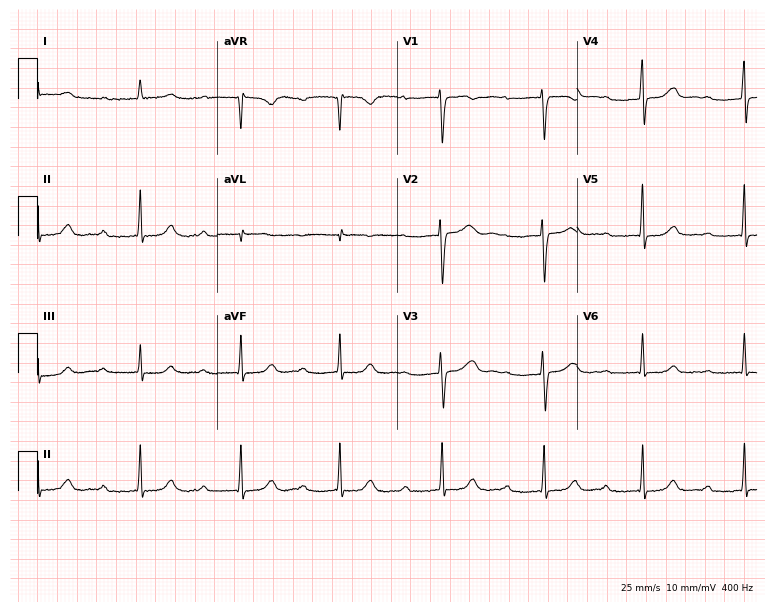
12-lead ECG from a 51-year-old female patient. Findings include first-degree AV block.